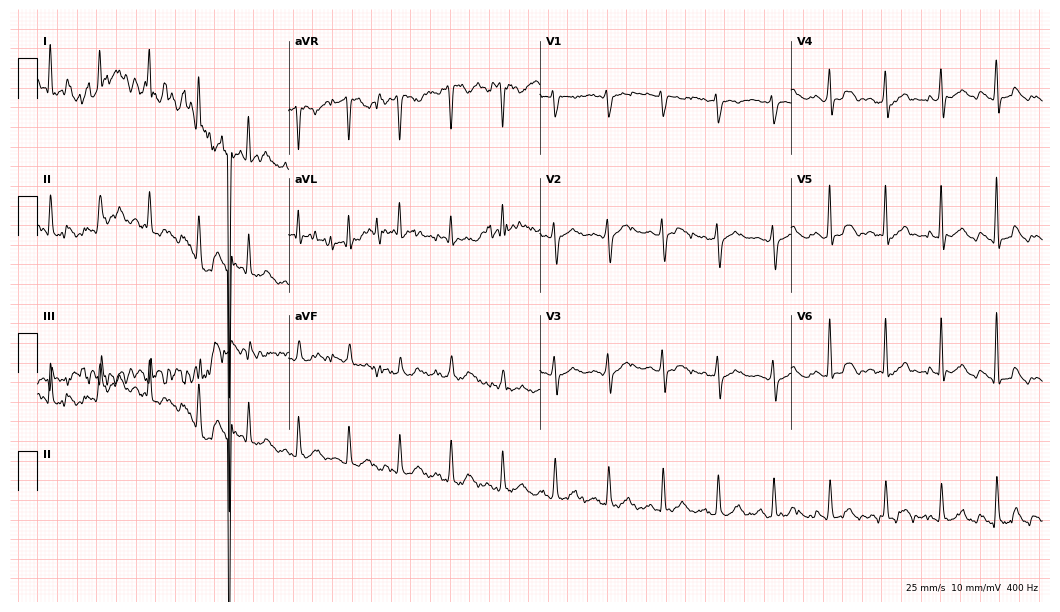
Resting 12-lead electrocardiogram (10.2-second recording at 400 Hz). Patient: a 60-year-old man. None of these six findings is recorded: first-degree AV block, right bundle branch block, left bundle branch block, sinus bradycardia, atrial fibrillation, sinus tachycardia. Findings outside these six are not listed.